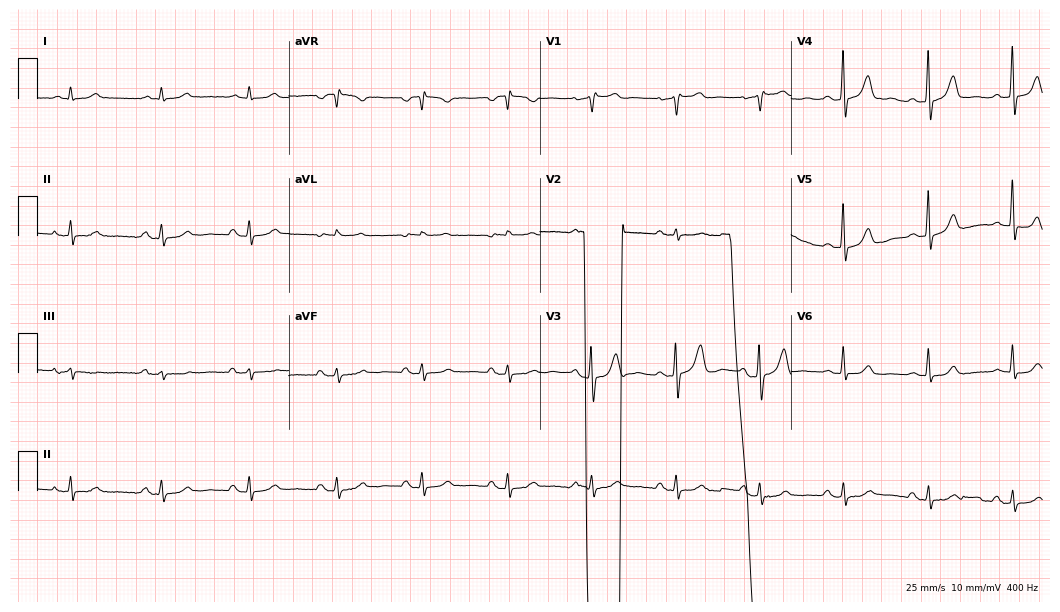
Resting 12-lead electrocardiogram. Patient: a 79-year-old male. None of these six findings is recorded: first-degree AV block, right bundle branch block, left bundle branch block, sinus bradycardia, atrial fibrillation, sinus tachycardia. Other findings, if any, are not listed.